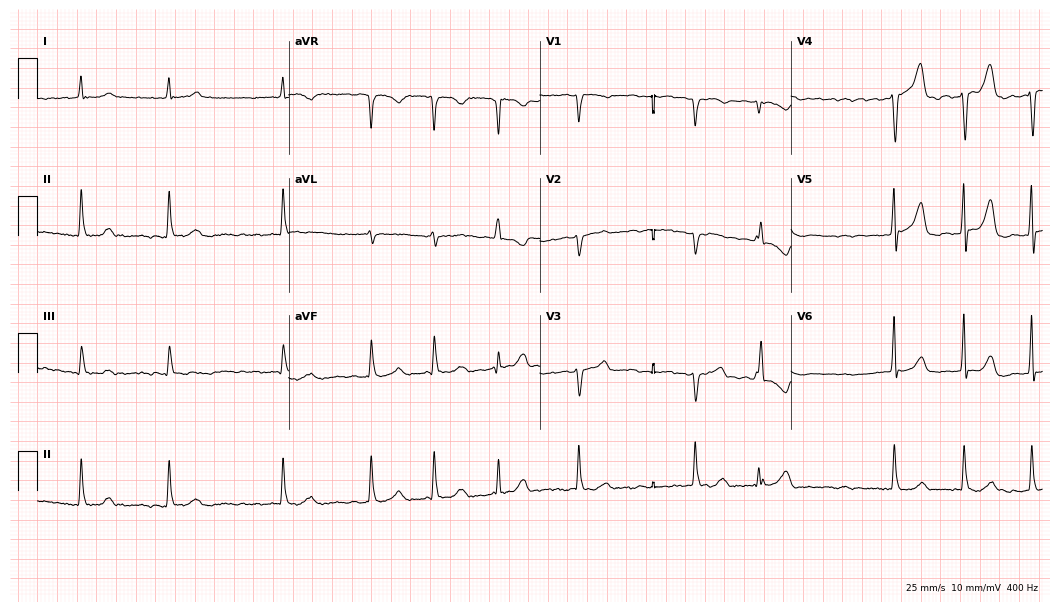
Standard 12-lead ECG recorded from a female, 77 years old (10.2-second recording at 400 Hz). None of these six findings is recorded: first-degree AV block, right bundle branch block, left bundle branch block, sinus bradycardia, atrial fibrillation, sinus tachycardia.